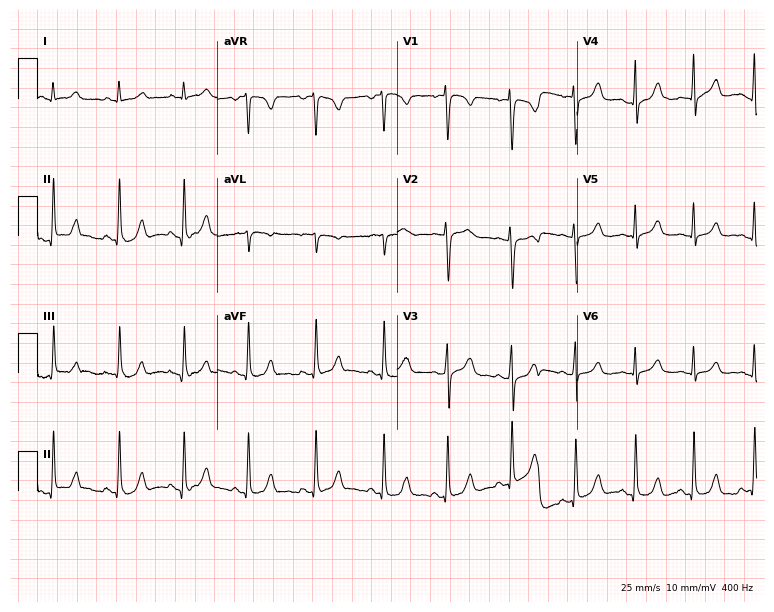
ECG — a female, 25 years old. Screened for six findings — first-degree AV block, right bundle branch block (RBBB), left bundle branch block (LBBB), sinus bradycardia, atrial fibrillation (AF), sinus tachycardia — none is recorded. Findings outside these six are not listed.